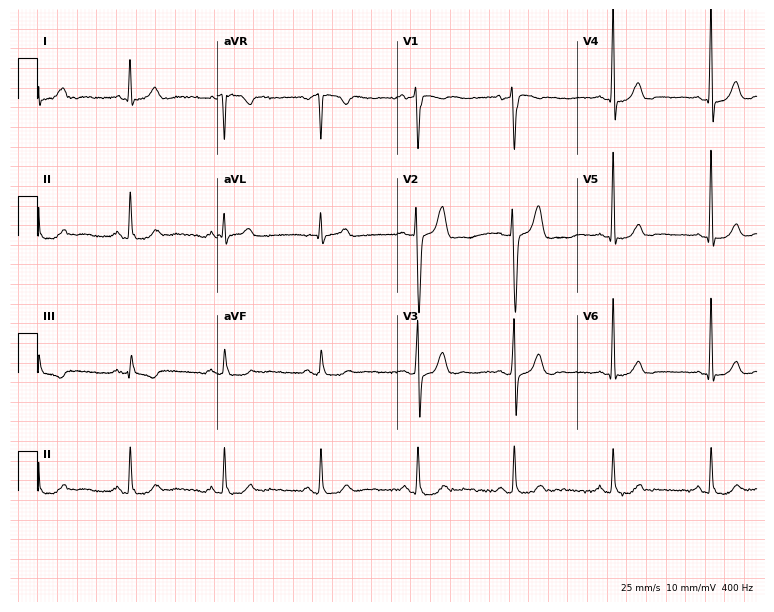
12-lead ECG from a male, 53 years old. Labelled as a normal ECG.